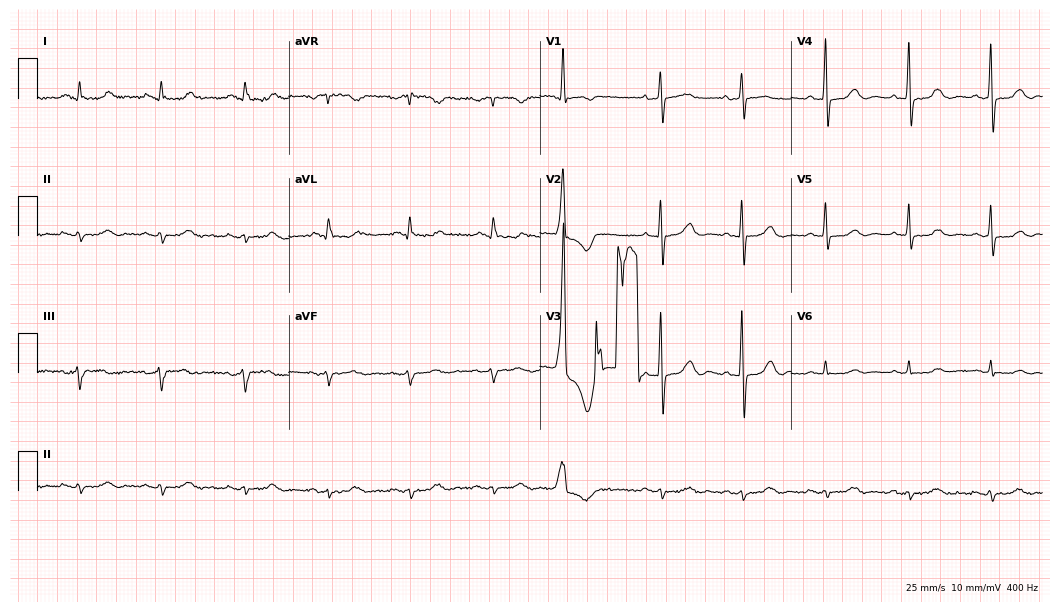
Standard 12-lead ECG recorded from a 75-year-old woman (10.2-second recording at 400 Hz). None of these six findings is recorded: first-degree AV block, right bundle branch block, left bundle branch block, sinus bradycardia, atrial fibrillation, sinus tachycardia.